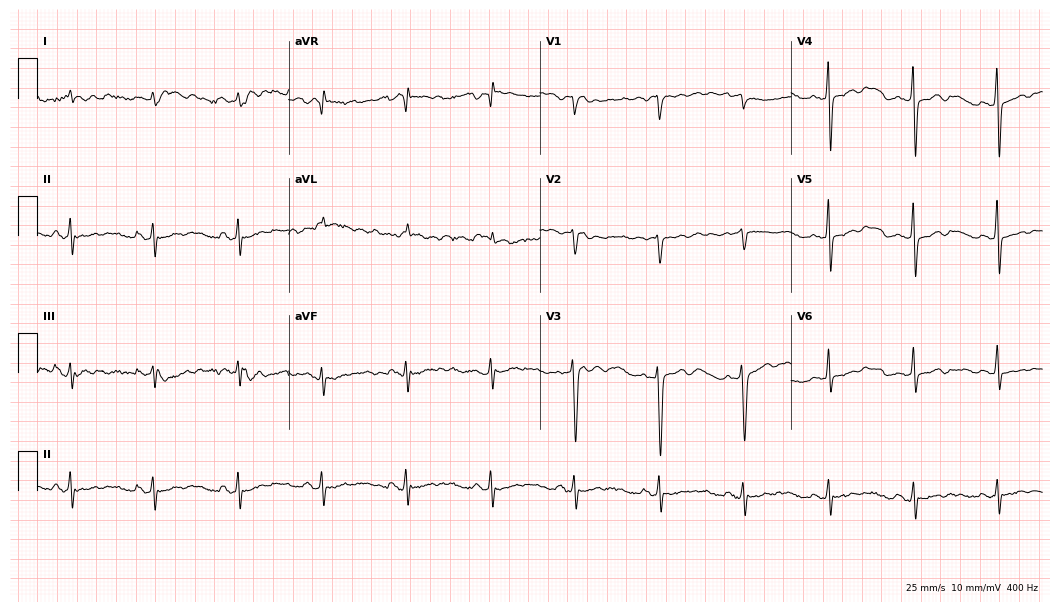
12-lead ECG (10.2-second recording at 400 Hz) from a 76-year-old woman. Screened for six findings — first-degree AV block, right bundle branch block, left bundle branch block, sinus bradycardia, atrial fibrillation, sinus tachycardia — none is recorded. Findings outside these six are not listed.